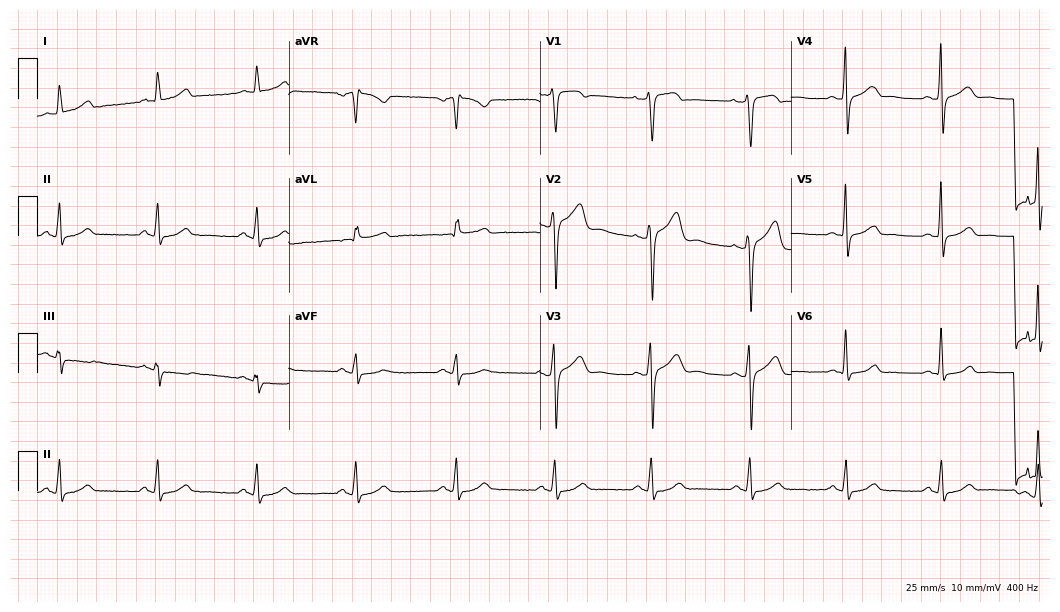
ECG (10.2-second recording at 400 Hz) — a male, 55 years old. Labelled as a normal ECG.